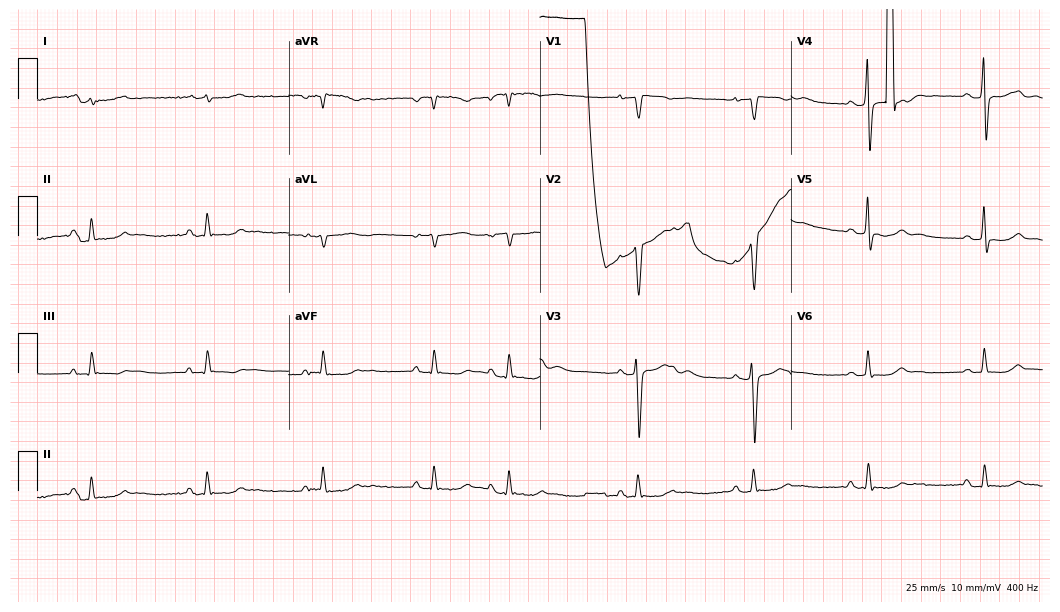
12-lead ECG from a 56-year-old female. Screened for six findings — first-degree AV block, right bundle branch block, left bundle branch block, sinus bradycardia, atrial fibrillation, sinus tachycardia — none is recorded.